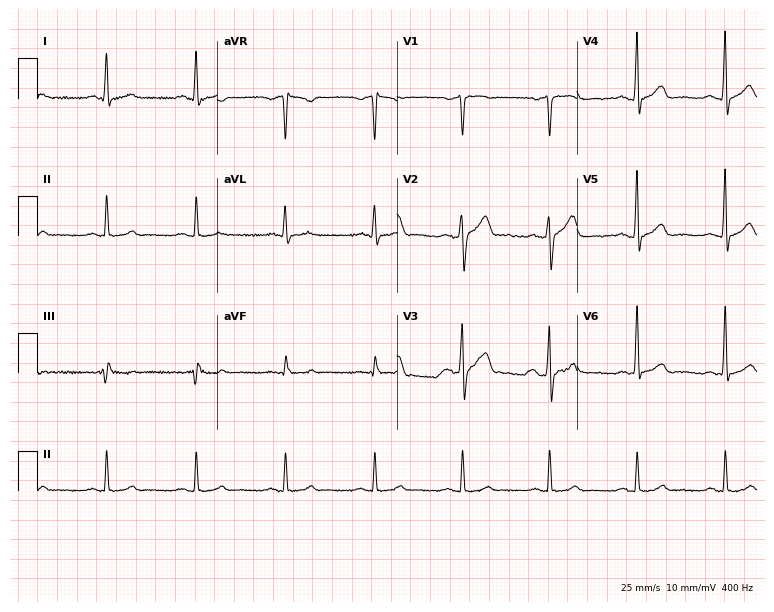
ECG (7.3-second recording at 400 Hz) — a man, 53 years old. Labelled as a normal ECG.